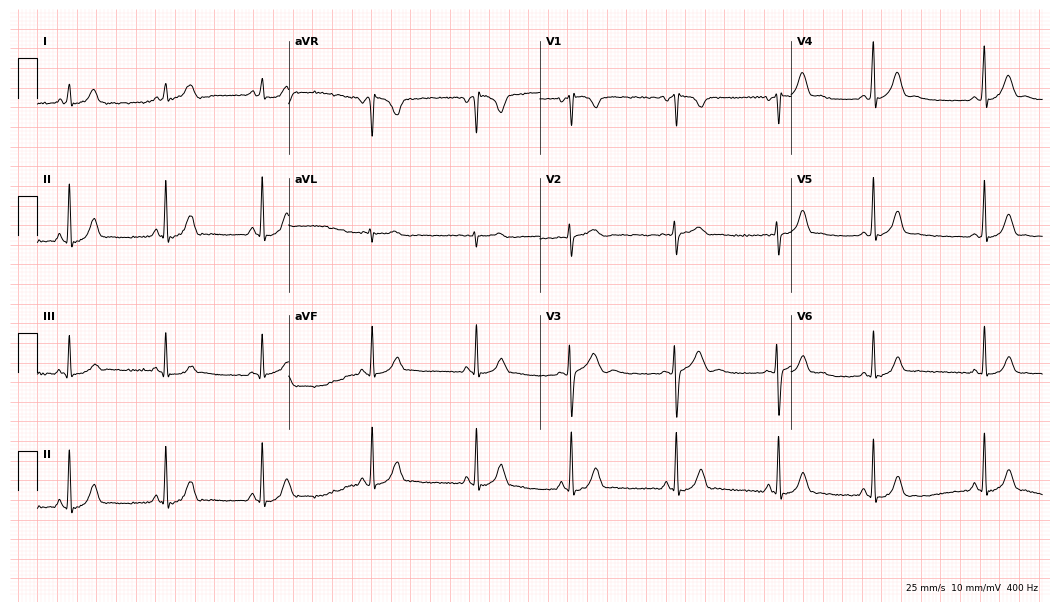
Electrocardiogram (10.2-second recording at 400 Hz), a 23-year-old female patient. Overall reading on record: normal ECG.